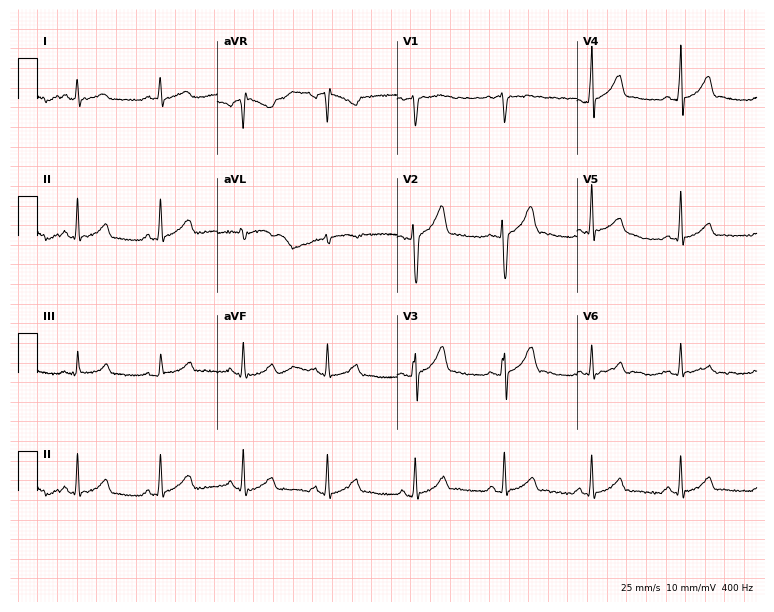
12-lead ECG (7.3-second recording at 400 Hz) from a 43-year-old male patient. Screened for six findings — first-degree AV block, right bundle branch block (RBBB), left bundle branch block (LBBB), sinus bradycardia, atrial fibrillation (AF), sinus tachycardia — none is recorded. Only these six findings were labelled.